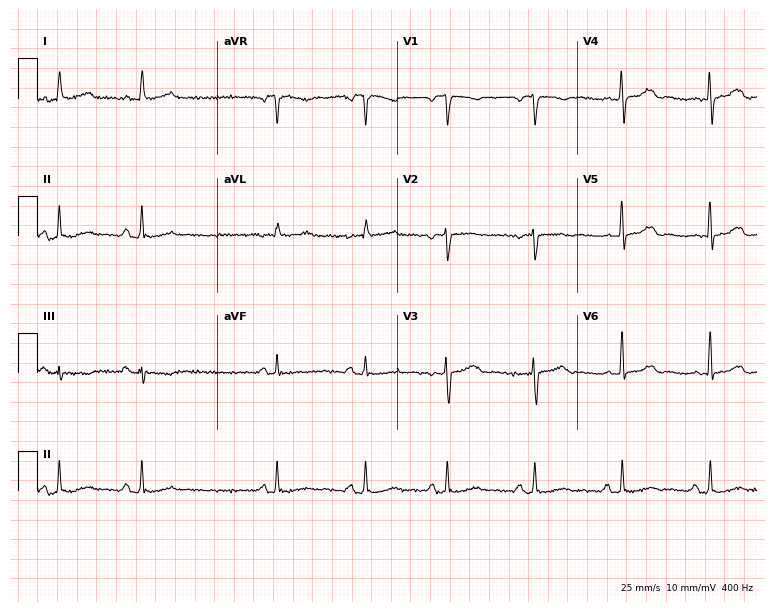
12-lead ECG from a 71-year-old woman. Screened for six findings — first-degree AV block, right bundle branch block, left bundle branch block, sinus bradycardia, atrial fibrillation, sinus tachycardia — none is recorded. Findings outside these six are not listed.